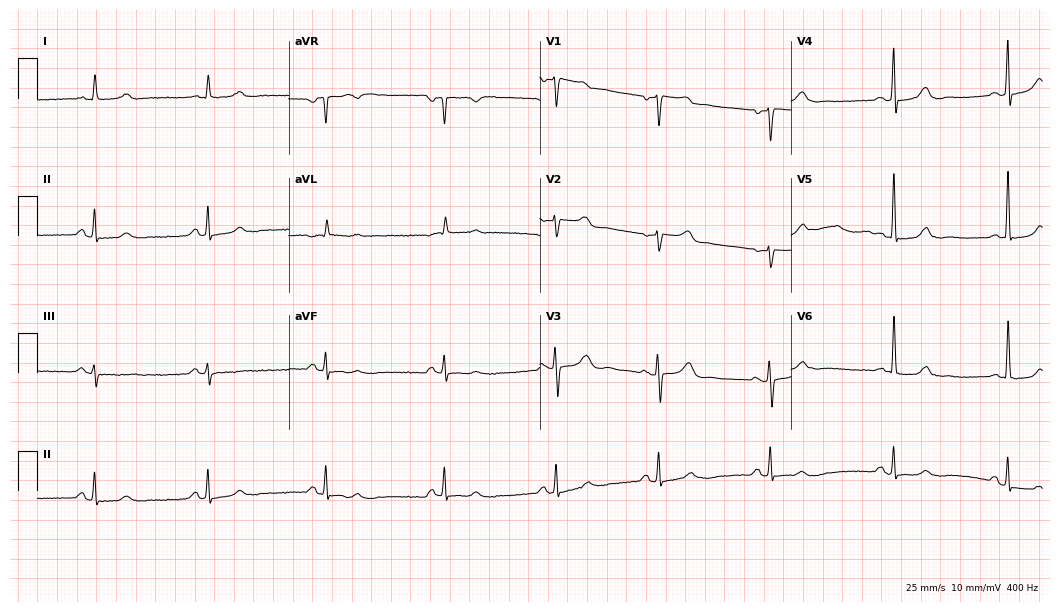
Standard 12-lead ECG recorded from a female patient, 60 years old. None of these six findings is recorded: first-degree AV block, right bundle branch block, left bundle branch block, sinus bradycardia, atrial fibrillation, sinus tachycardia.